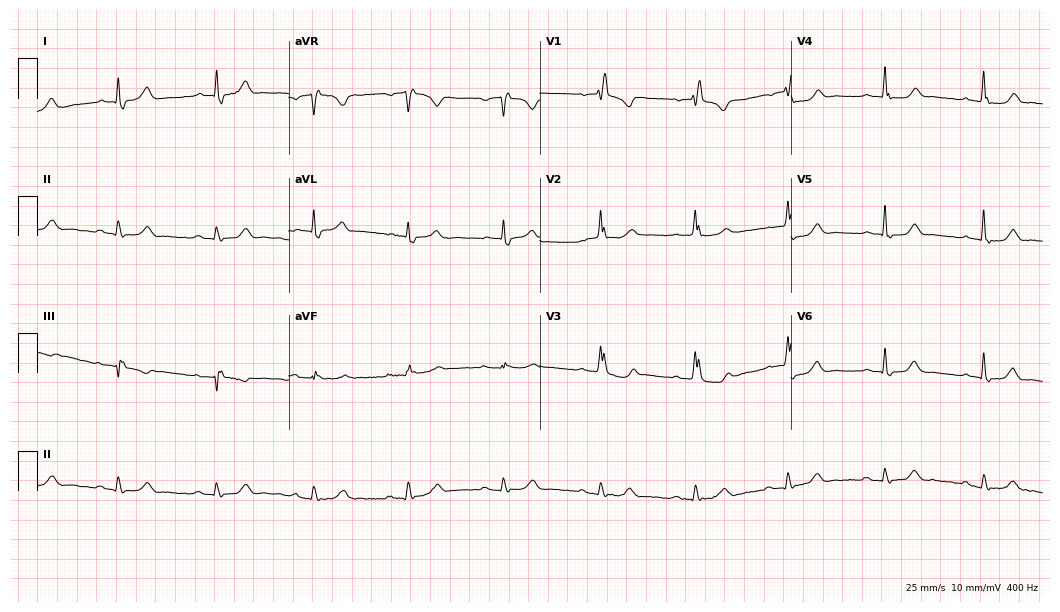
Standard 12-lead ECG recorded from a female patient, 73 years old. The tracing shows right bundle branch block (RBBB).